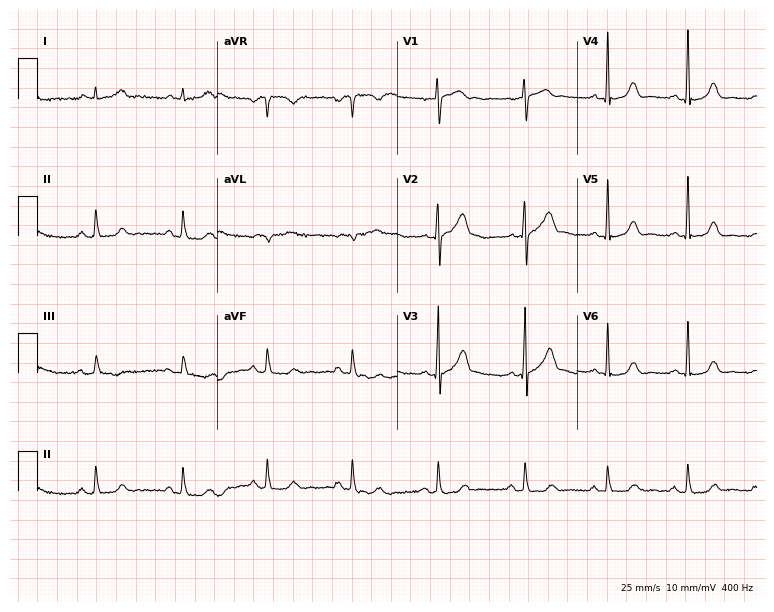
Resting 12-lead electrocardiogram. Patient: a male, 31 years old. Read as a normal ECG.